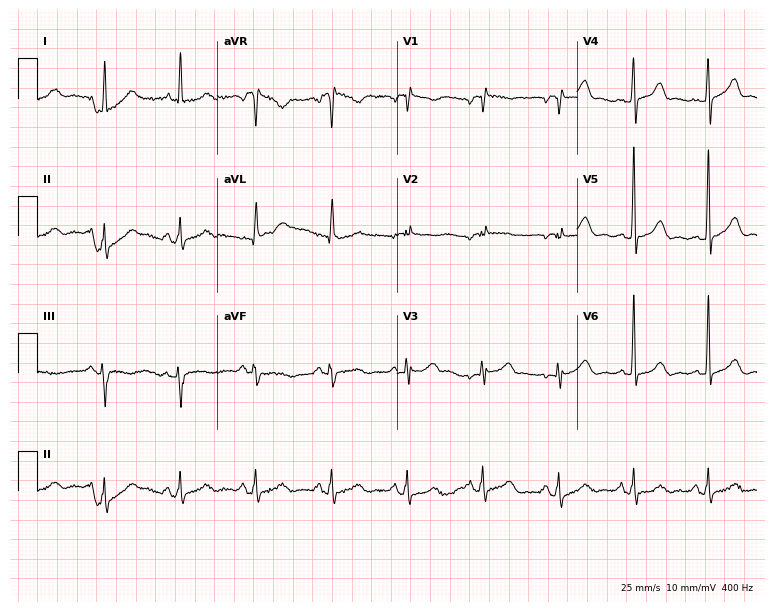
12-lead ECG from a 71-year-old female. Screened for six findings — first-degree AV block, right bundle branch block, left bundle branch block, sinus bradycardia, atrial fibrillation, sinus tachycardia — none is recorded. Only these six findings were labelled.